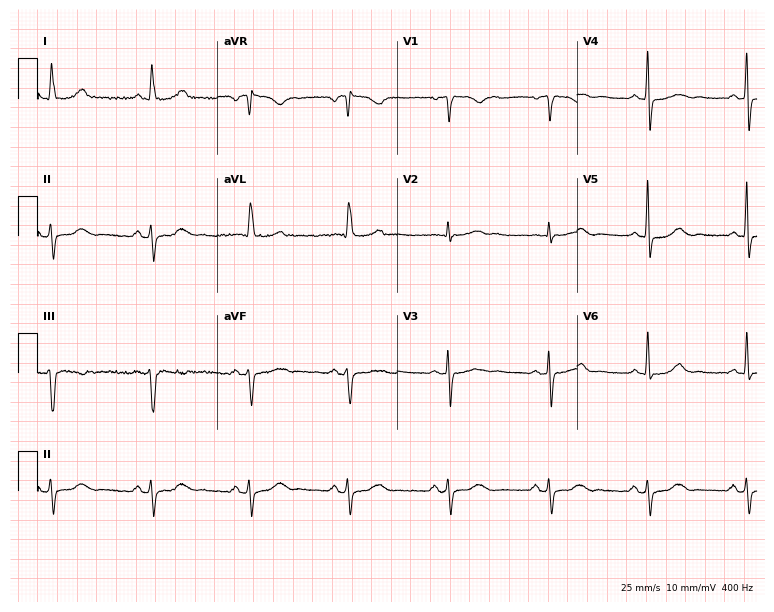
Electrocardiogram (7.3-second recording at 400 Hz), a woman, 63 years old. Of the six screened findings (first-degree AV block, right bundle branch block, left bundle branch block, sinus bradycardia, atrial fibrillation, sinus tachycardia), none is recorded. Findings outside these six are not listed.